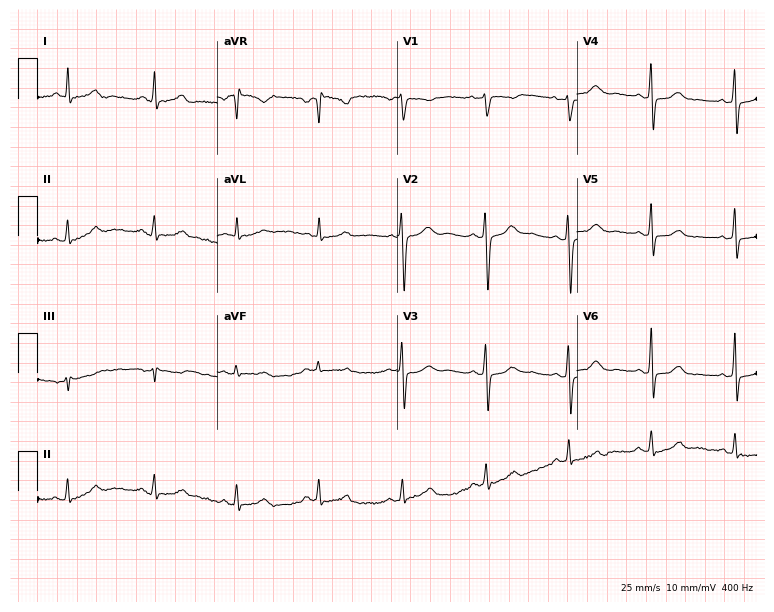
12-lead ECG from a 34-year-old female. Screened for six findings — first-degree AV block, right bundle branch block, left bundle branch block, sinus bradycardia, atrial fibrillation, sinus tachycardia — none is recorded.